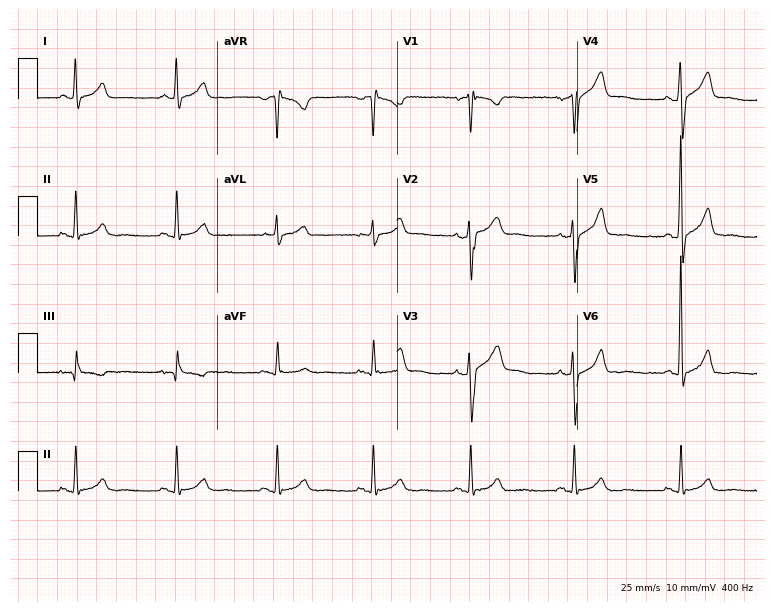
Resting 12-lead electrocardiogram (7.3-second recording at 400 Hz). Patient: a 53-year-old man. None of these six findings is recorded: first-degree AV block, right bundle branch block (RBBB), left bundle branch block (LBBB), sinus bradycardia, atrial fibrillation (AF), sinus tachycardia. Only these six findings were labelled.